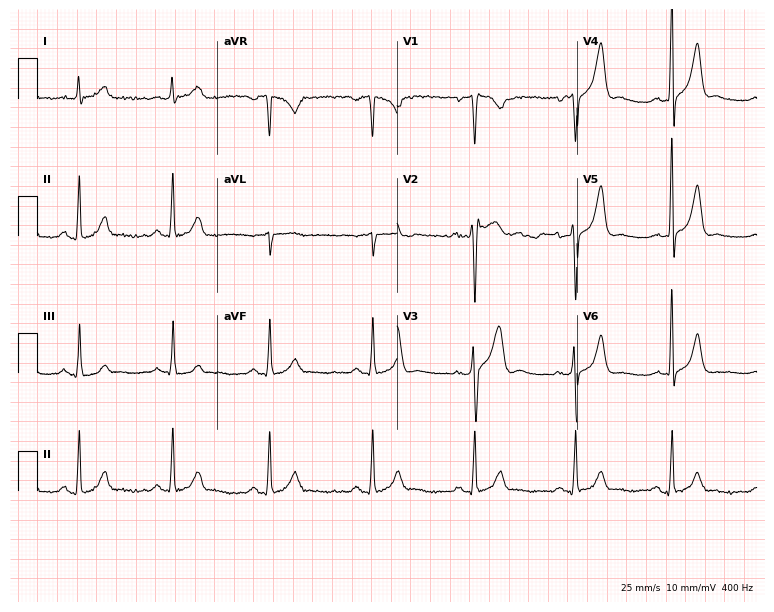
Electrocardiogram, a 38-year-old male. Of the six screened findings (first-degree AV block, right bundle branch block (RBBB), left bundle branch block (LBBB), sinus bradycardia, atrial fibrillation (AF), sinus tachycardia), none is recorded.